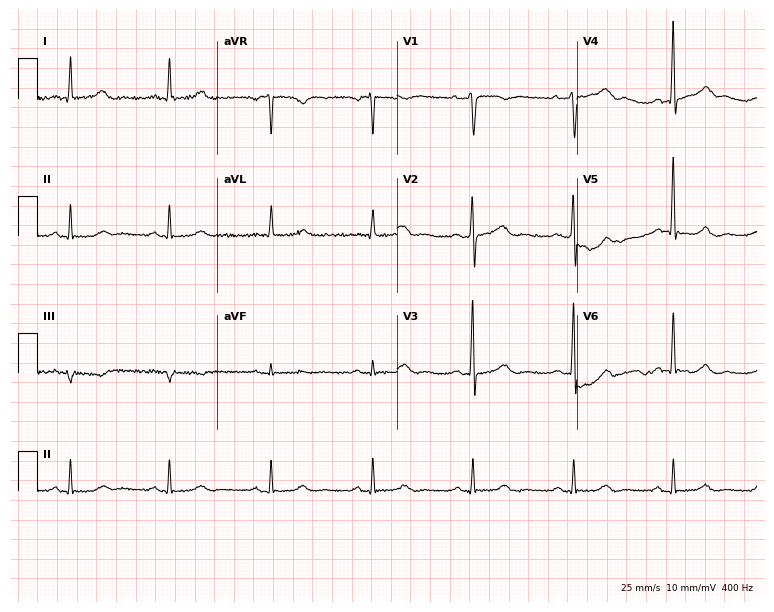
12-lead ECG from a 59-year-old male patient. No first-degree AV block, right bundle branch block, left bundle branch block, sinus bradycardia, atrial fibrillation or sinus tachycardia recorded for this tracing. Other findings, if any, are not listed.